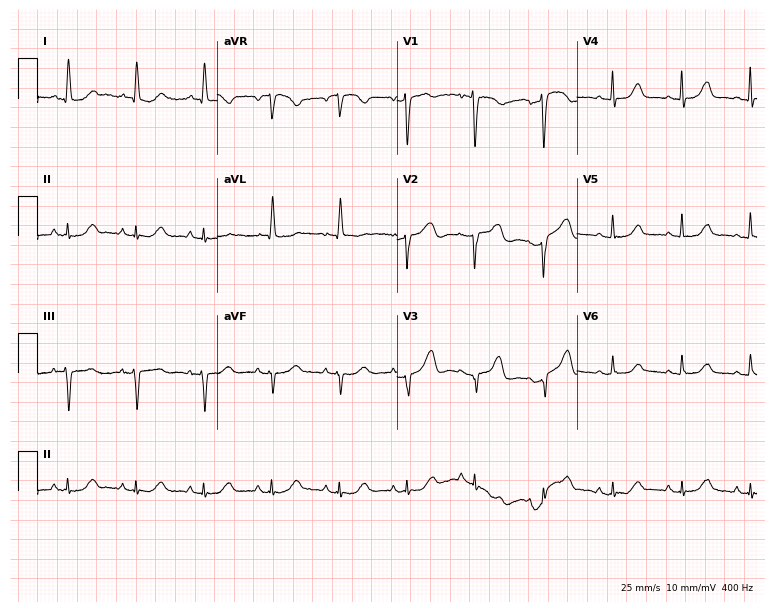
Resting 12-lead electrocardiogram. Patient: a 71-year-old female. None of these six findings is recorded: first-degree AV block, right bundle branch block, left bundle branch block, sinus bradycardia, atrial fibrillation, sinus tachycardia. Only these six findings were labelled.